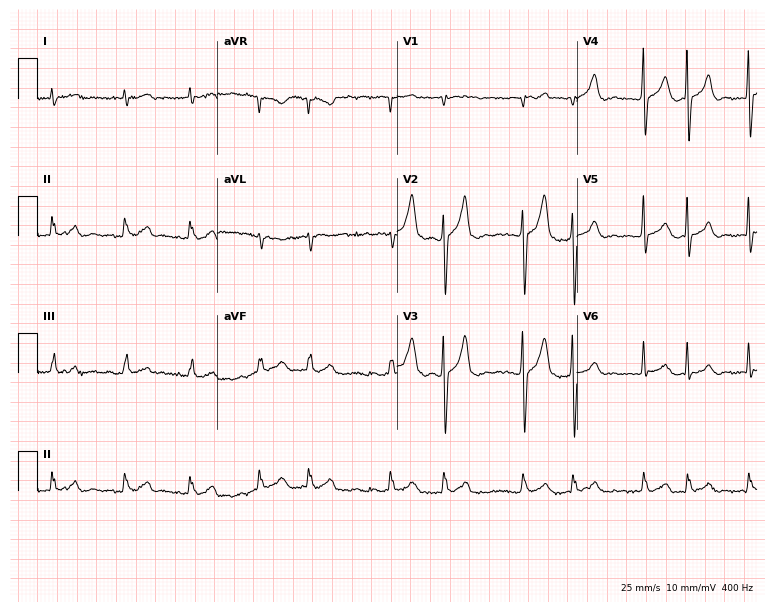
12-lead ECG from a male, 65 years old. Shows atrial fibrillation (AF).